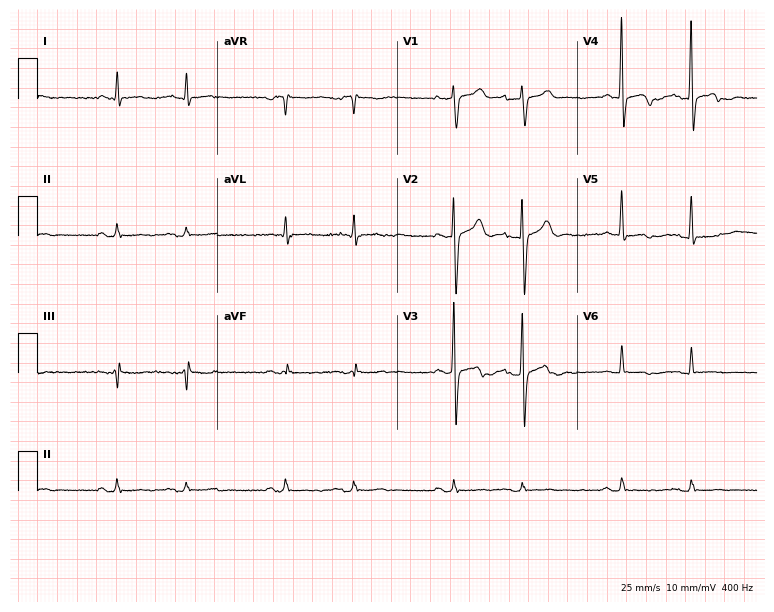
12-lead ECG from an 80-year-old male patient. Screened for six findings — first-degree AV block, right bundle branch block, left bundle branch block, sinus bradycardia, atrial fibrillation, sinus tachycardia — none is recorded.